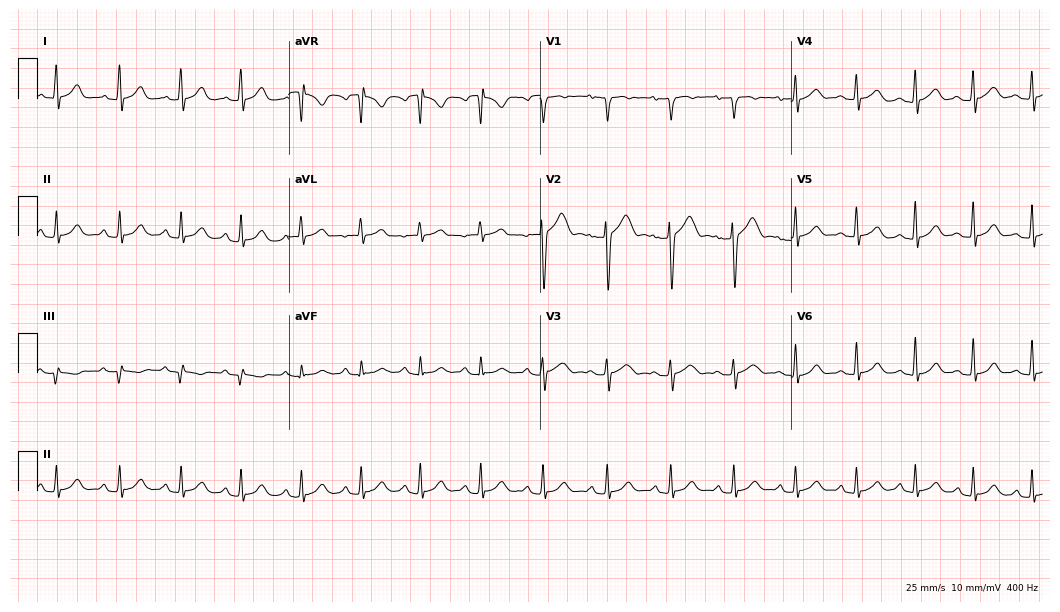
ECG — a 29-year-old man. Labelled as a normal ECG.